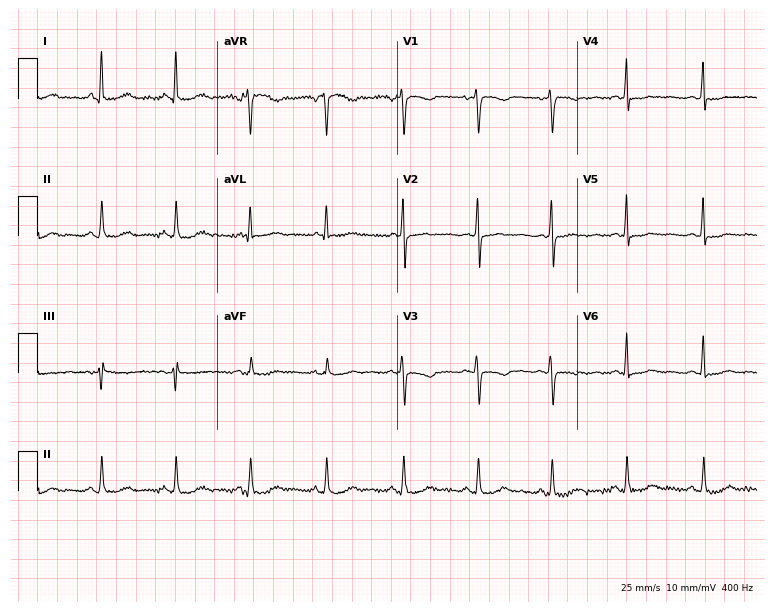
Electrocardiogram (7.3-second recording at 400 Hz), a 57-year-old female. Of the six screened findings (first-degree AV block, right bundle branch block (RBBB), left bundle branch block (LBBB), sinus bradycardia, atrial fibrillation (AF), sinus tachycardia), none is recorded. Only these six findings were labelled.